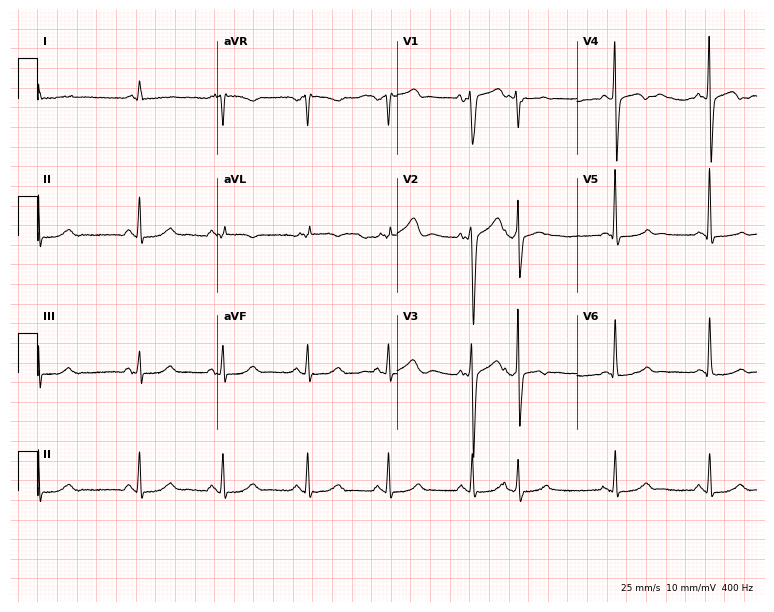
12-lead ECG from a 69-year-old man. No first-degree AV block, right bundle branch block, left bundle branch block, sinus bradycardia, atrial fibrillation or sinus tachycardia recorded for this tracing.